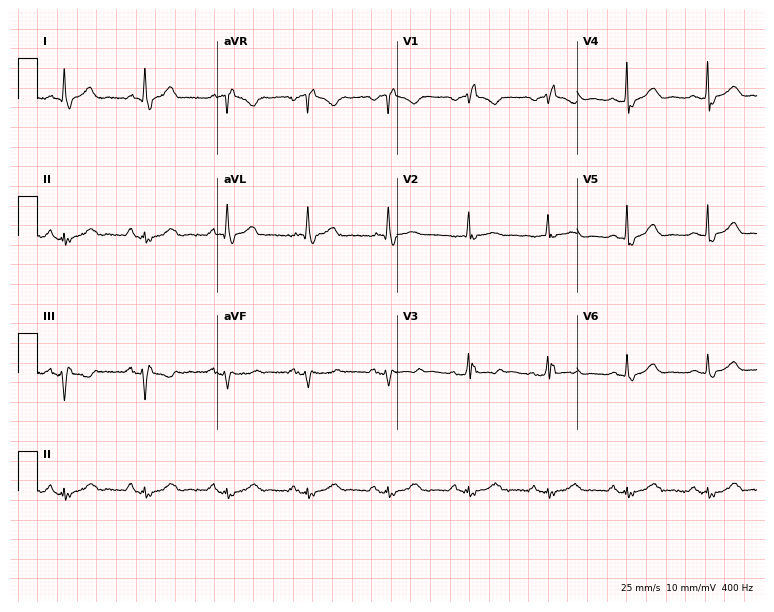
Standard 12-lead ECG recorded from a 75-year-old female patient. The tracing shows right bundle branch block.